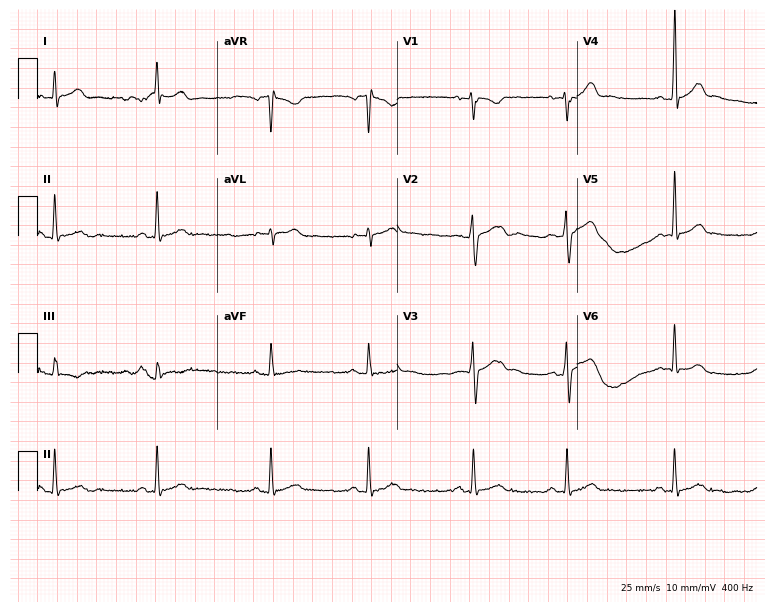
Resting 12-lead electrocardiogram. Patient: a 22-year-old male. Read as a normal ECG.